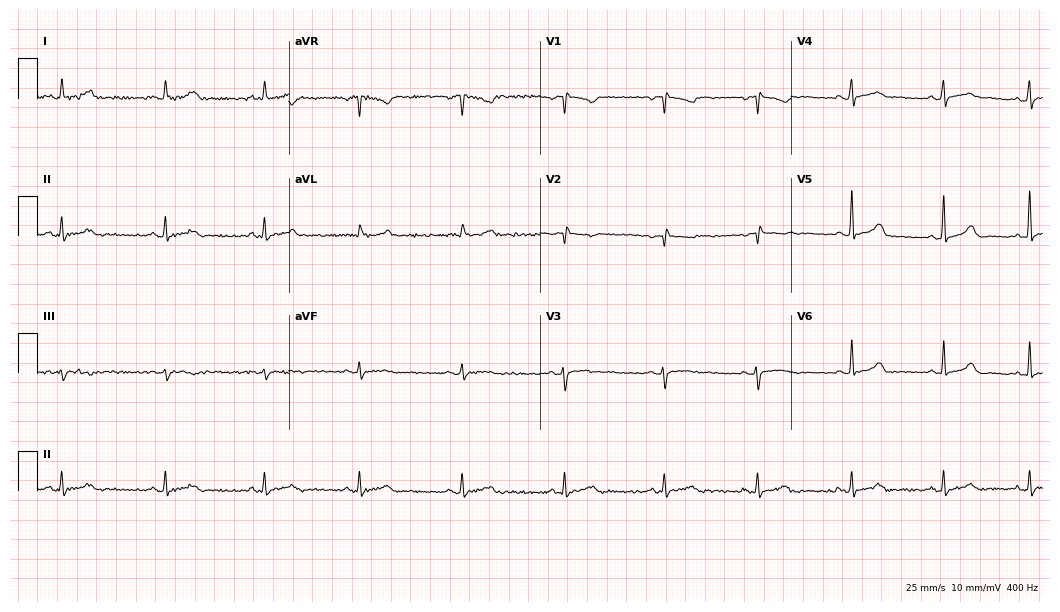
12-lead ECG (10.2-second recording at 400 Hz) from a 40-year-old female. Screened for six findings — first-degree AV block, right bundle branch block (RBBB), left bundle branch block (LBBB), sinus bradycardia, atrial fibrillation (AF), sinus tachycardia — none is recorded.